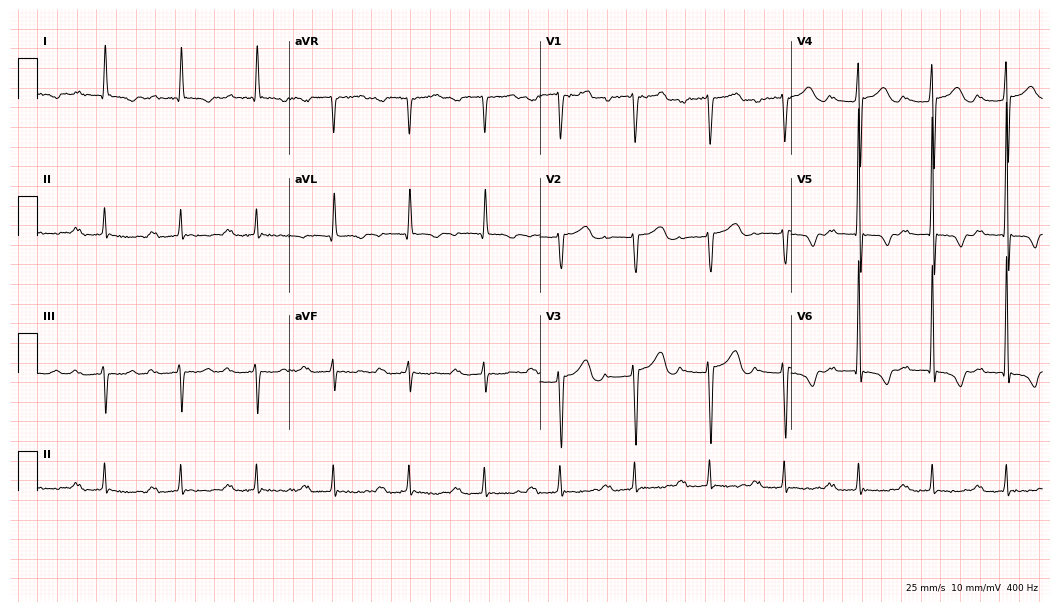
12-lead ECG from a male, 73 years old (10.2-second recording at 400 Hz). No first-degree AV block, right bundle branch block, left bundle branch block, sinus bradycardia, atrial fibrillation or sinus tachycardia recorded for this tracing.